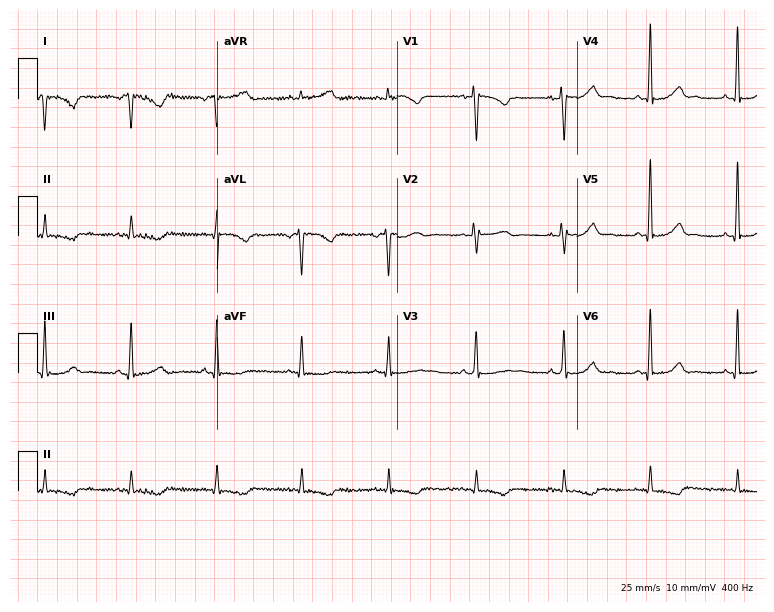
ECG — a female patient, 42 years old. Screened for six findings — first-degree AV block, right bundle branch block, left bundle branch block, sinus bradycardia, atrial fibrillation, sinus tachycardia — none is recorded. Findings outside these six are not listed.